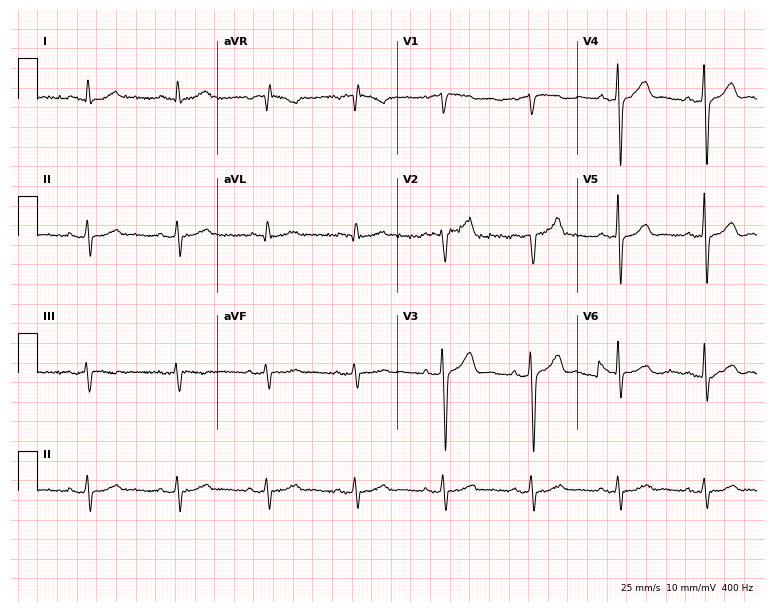
12-lead ECG from a male, 77 years old. Screened for six findings — first-degree AV block, right bundle branch block (RBBB), left bundle branch block (LBBB), sinus bradycardia, atrial fibrillation (AF), sinus tachycardia — none is recorded. Only these six findings were labelled.